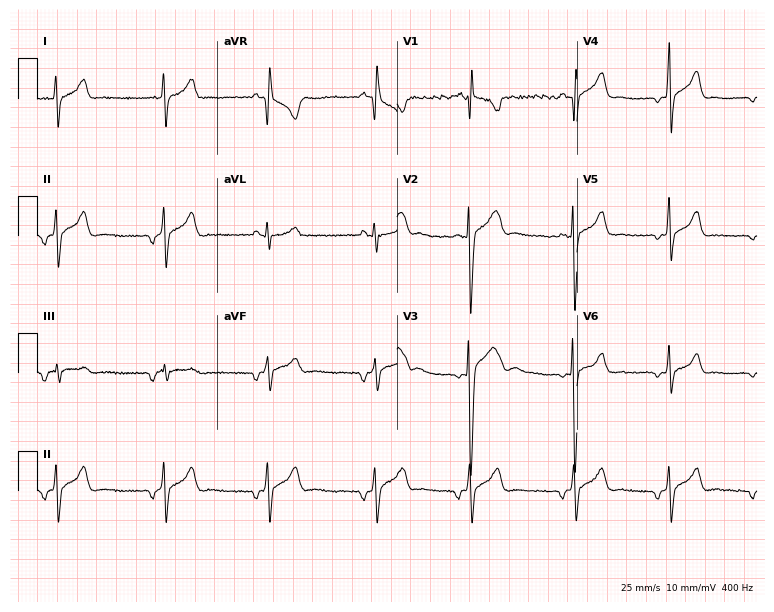
Electrocardiogram, a male patient, 17 years old. Of the six screened findings (first-degree AV block, right bundle branch block, left bundle branch block, sinus bradycardia, atrial fibrillation, sinus tachycardia), none is recorded.